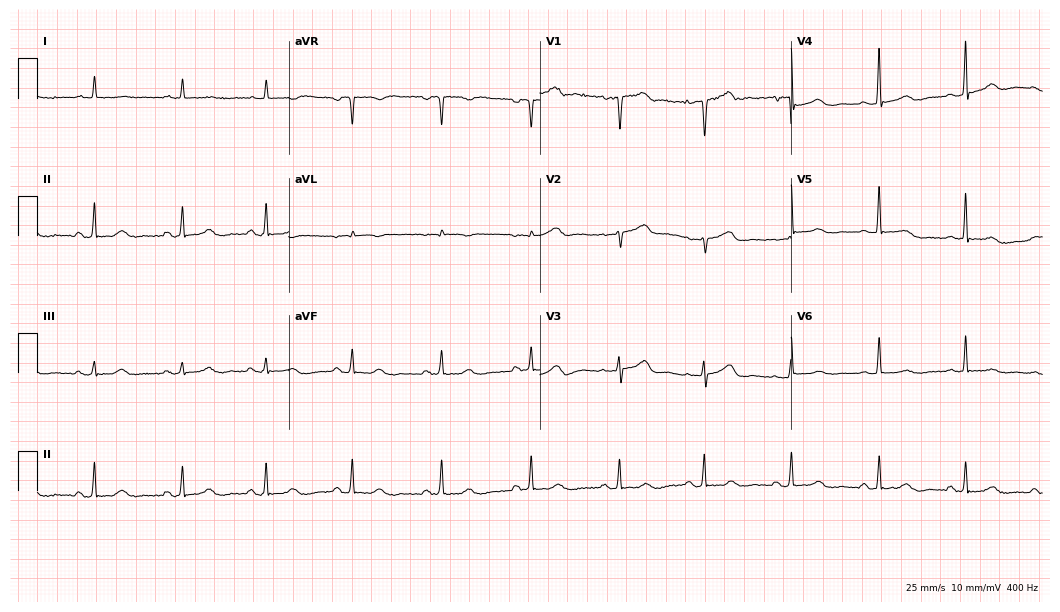
12-lead ECG (10.2-second recording at 400 Hz) from a 69-year-old female. Labelled as a normal ECG.